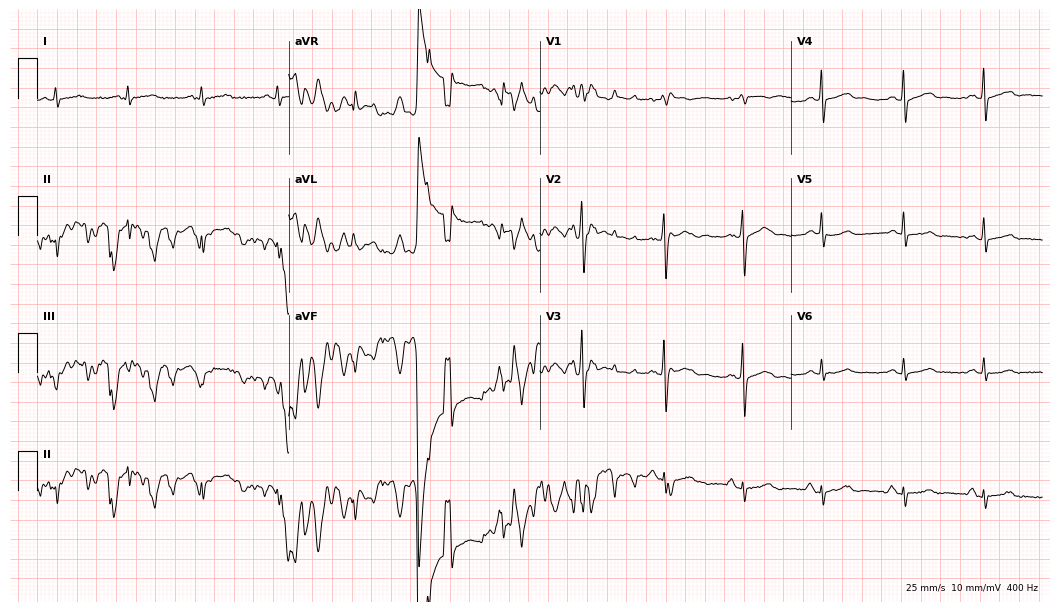
12-lead ECG from a male, 57 years old (10.2-second recording at 400 Hz). No first-degree AV block, right bundle branch block (RBBB), left bundle branch block (LBBB), sinus bradycardia, atrial fibrillation (AF) or sinus tachycardia recorded for this tracing. Findings outside these six are not listed.